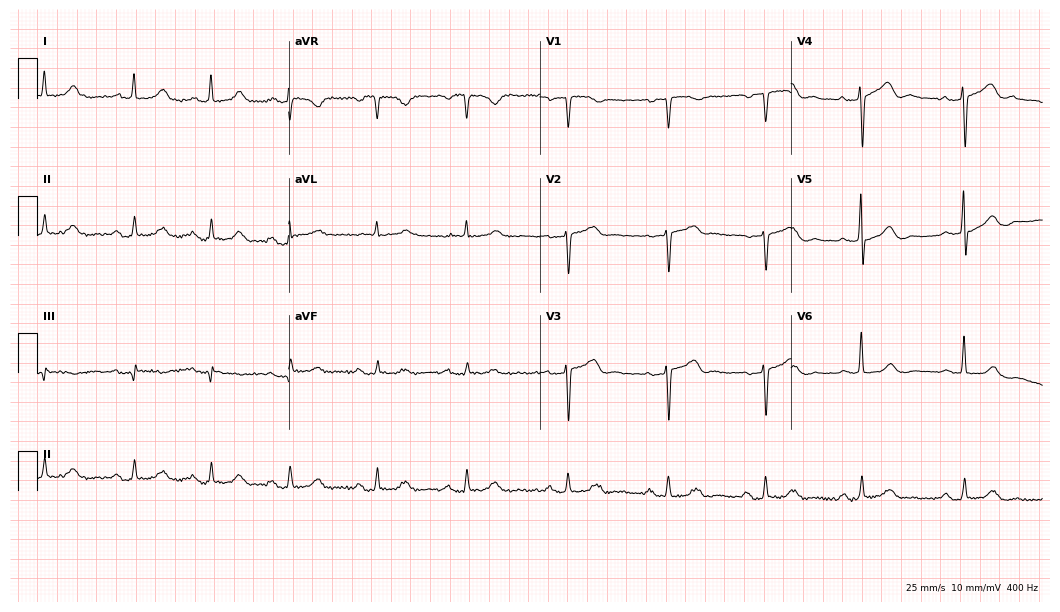
Standard 12-lead ECG recorded from a female, 64 years old. The tracing shows first-degree AV block.